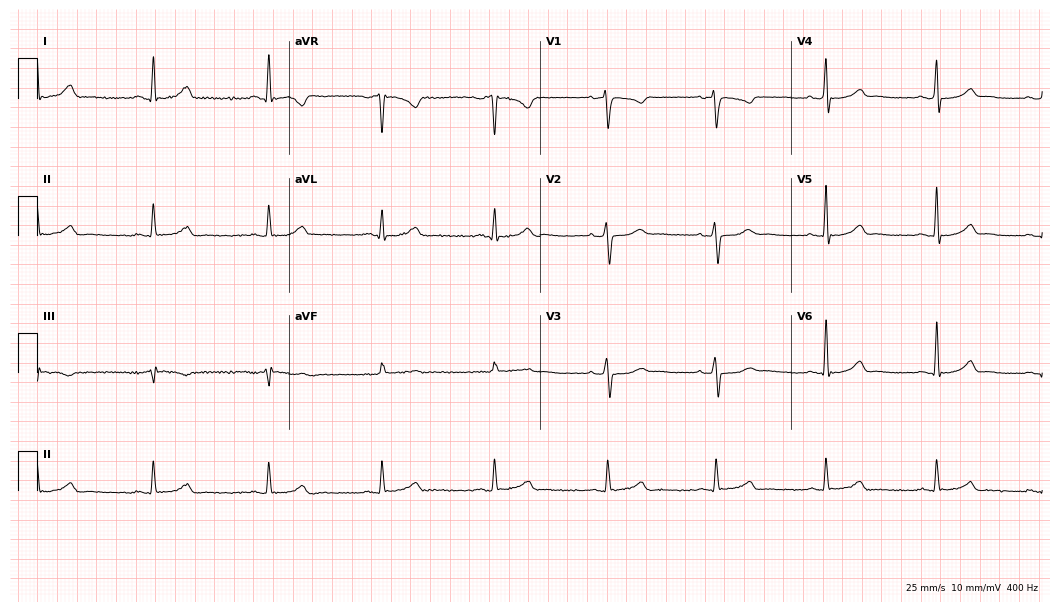
12-lead ECG from a female patient, 47 years old. Recorded interpretation: within normal limits.